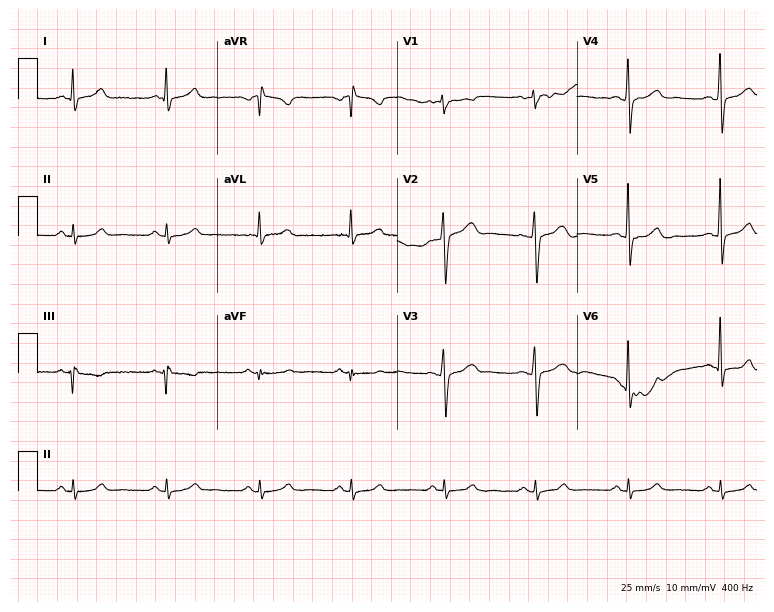
Resting 12-lead electrocardiogram. Patient: a 48-year-old male. None of these six findings is recorded: first-degree AV block, right bundle branch block, left bundle branch block, sinus bradycardia, atrial fibrillation, sinus tachycardia.